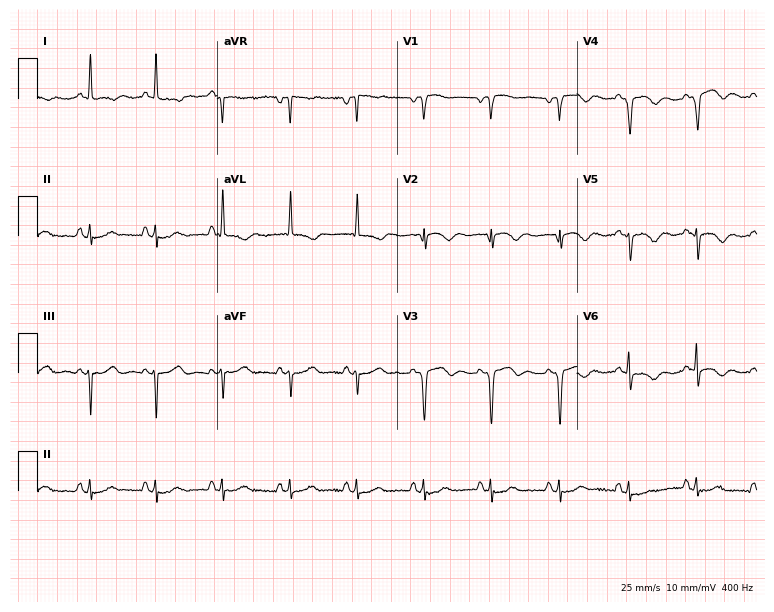
ECG — a female, 76 years old. Screened for six findings — first-degree AV block, right bundle branch block, left bundle branch block, sinus bradycardia, atrial fibrillation, sinus tachycardia — none is recorded. Only these six findings were labelled.